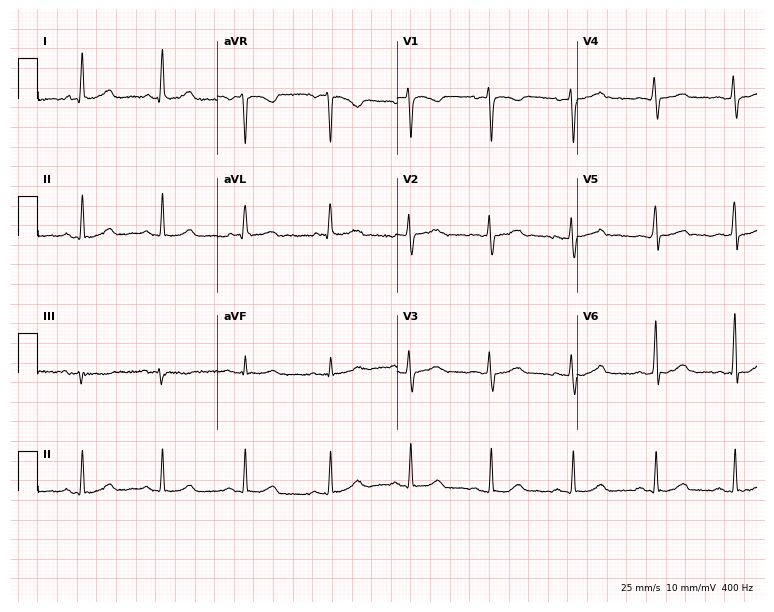
12-lead ECG from a 61-year-old female patient (7.3-second recording at 400 Hz). No first-degree AV block, right bundle branch block, left bundle branch block, sinus bradycardia, atrial fibrillation or sinus tachycardia recorded for this tracing.